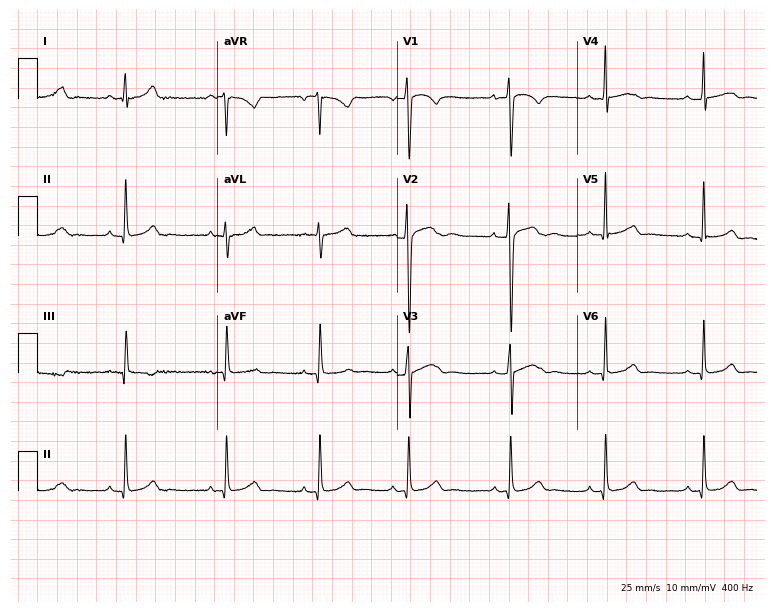
12-lead ECG from a 28-year-old female (7.3-second recording at 400 Hz). Recorded interpretation: within normal limits.